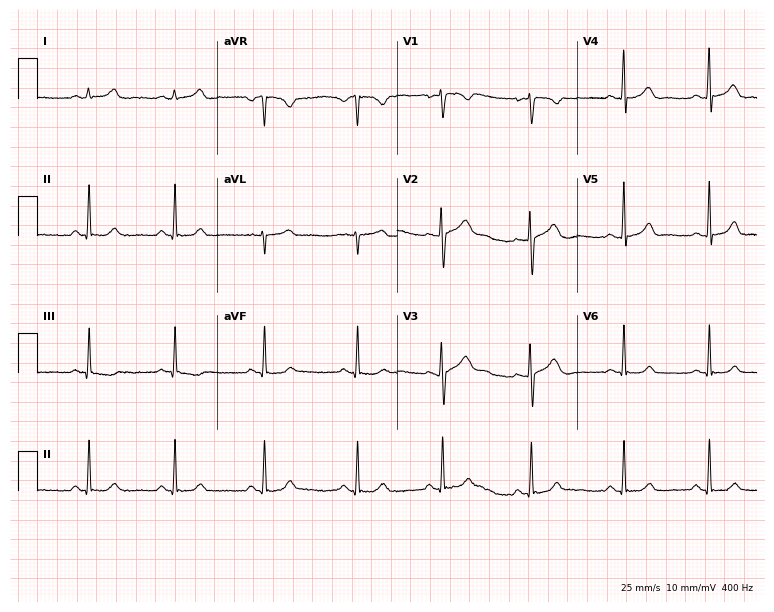
12-lead ECG from a woman, 22 years old. No first-degree AV block, right bundle branch block (RBBB), left bundle branch block (LBBB), sinus bradycardia, atrial fibrillation (AF) or sinus tachycardia recorded for this tracing.